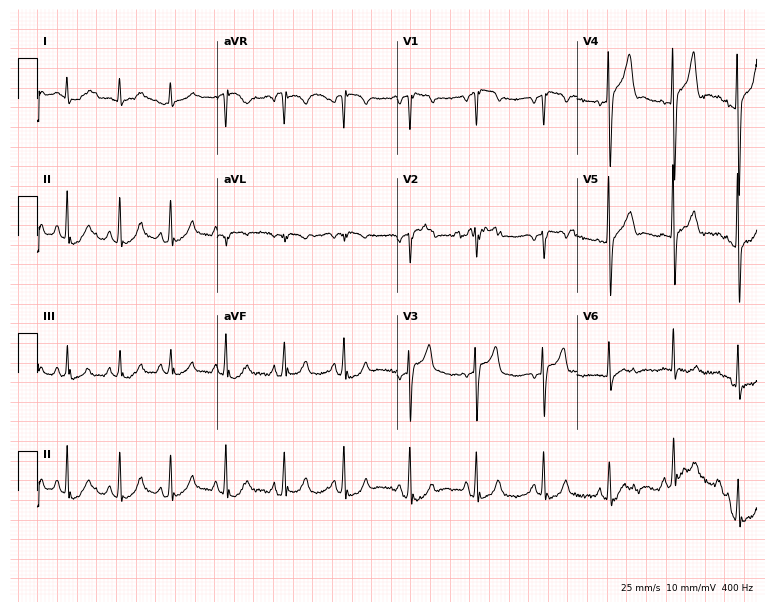
ECG — a 39-year-old man. Screened for six findings — first-degree AV block, right bundle branch block, left bundle branch block, sinus bradycardia, atrial fibrillation, sinus tachycardia — none is recorded. Other findings, if any, are not listed.